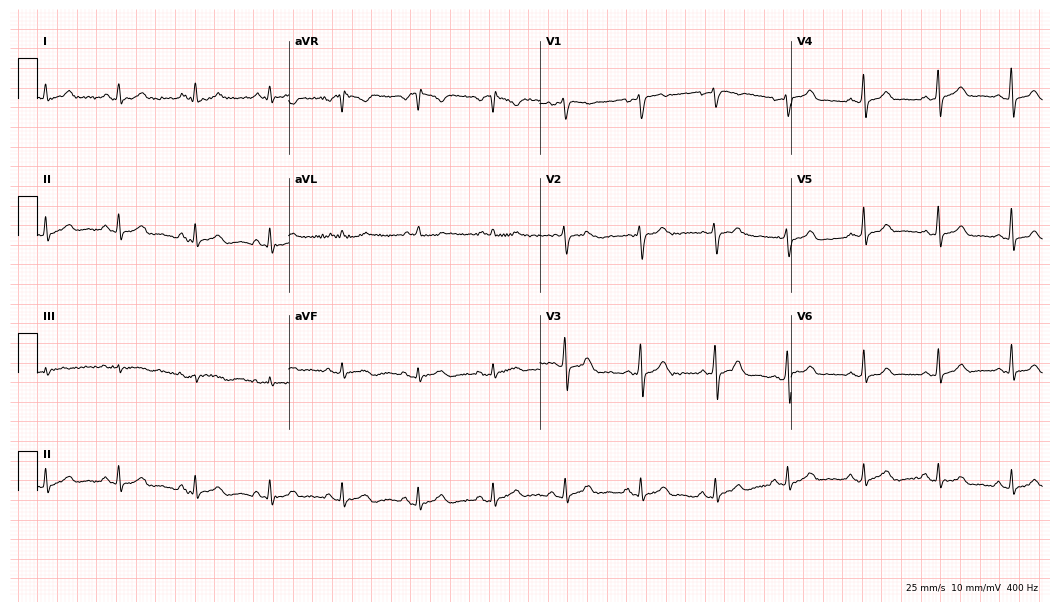
Standard 12-lead ECG recorded from a woman, 31 years old (10.2-second recording at 400 Hz). Read as a normal ECG.